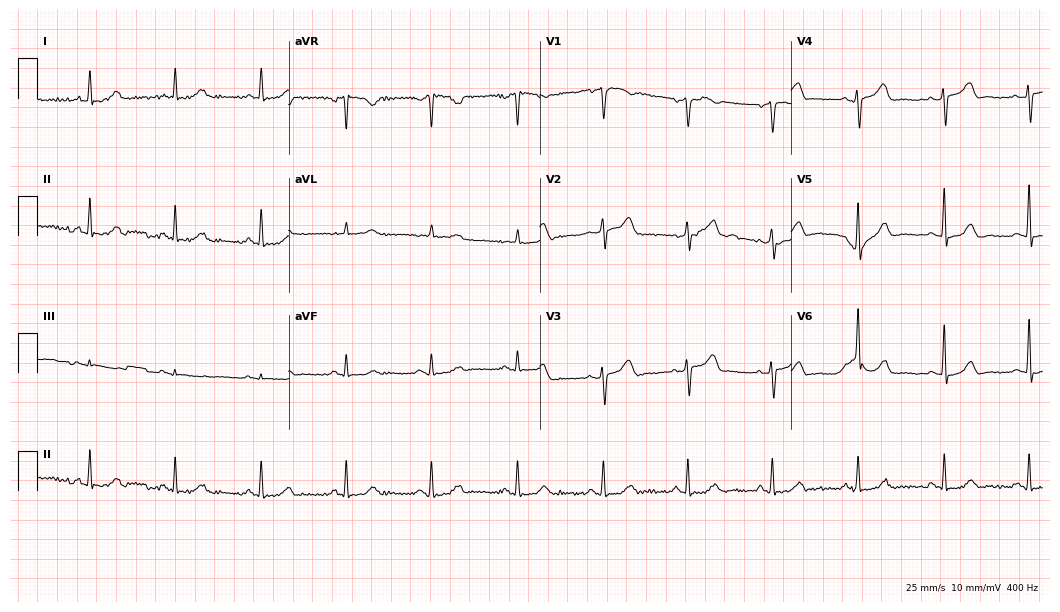
12-lead ECG from a female, 69 years old. No first-degree AV block, right bundle branch block, left bundle branch block, sinus bradycardia, atrial fibrillation or sinus tachycardia recorded for this tracing.